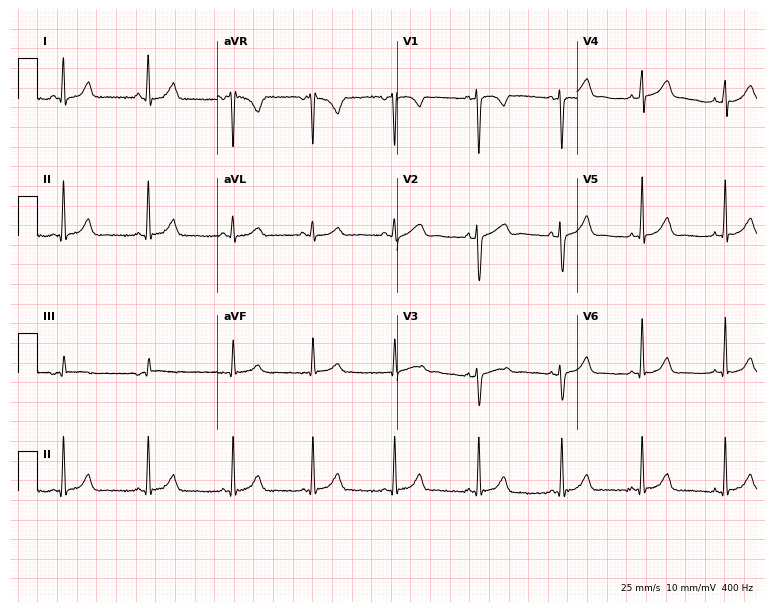
Standard 12-lead ECG recorded from a 21-year-old female (7.3-second recording at 400 Hz). Read as a normal ECG.